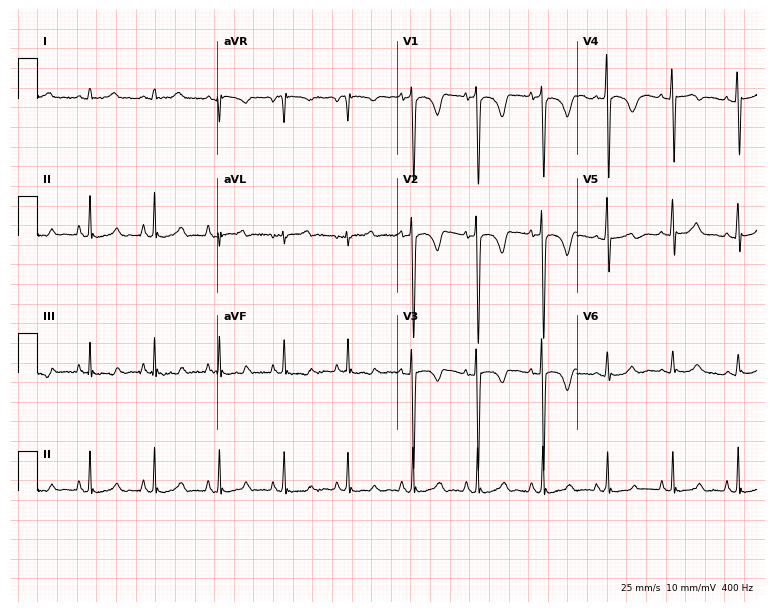
Resting 12-lead electrocardiogram. Patient: a woman, 46 years old. None of these six findings is recorded: first-degree AV block, right bundle branch block, left bundle branch block, sinus bradycardia, atrial fibrillation, sinus tachycardia. Other findings, if any, are not listed.